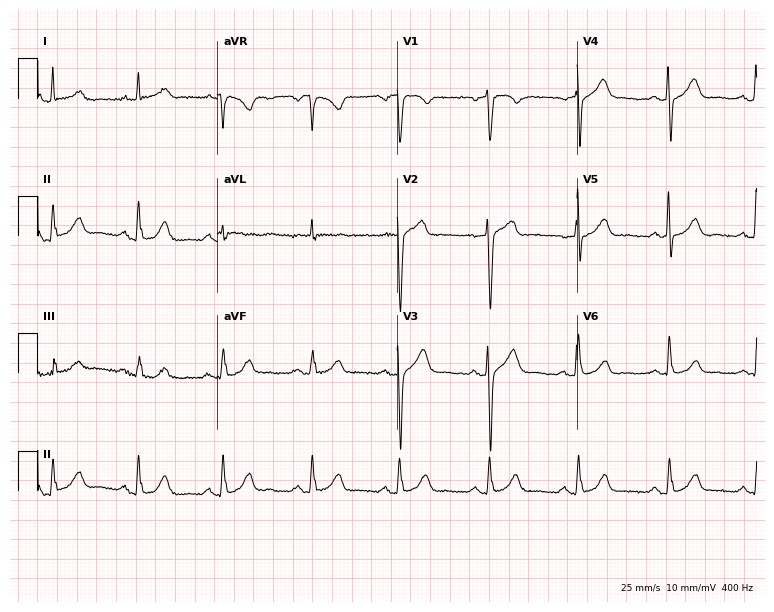
Resting 12-lead electrocardiogram (7.3-second recording at 400 Hz). Patient: a male, 41 years old. None of these six findings is recorded: first-degree AV block, right bundle branch block, left bundle branch block, sinus bradycardia, atrial fibrillation, sinus tachycardia.